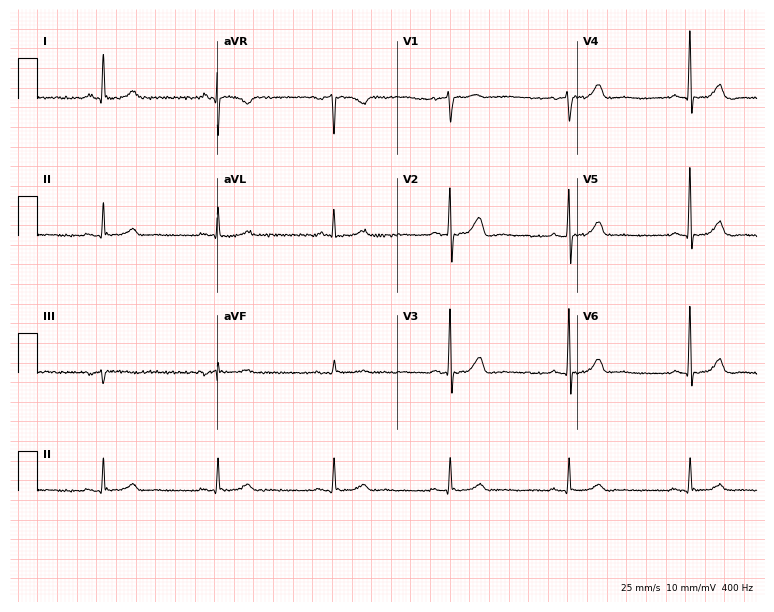
12-lead ECG from a male patient, 60 years old (7.3-second recording at 400 Hz). No first-degree AV block, right bundle branch block, left bundle branch block, sinus bradycardia, atrial fibrillation or sinus tachycardia recorded for this tracing. Only these six findings were labelled.